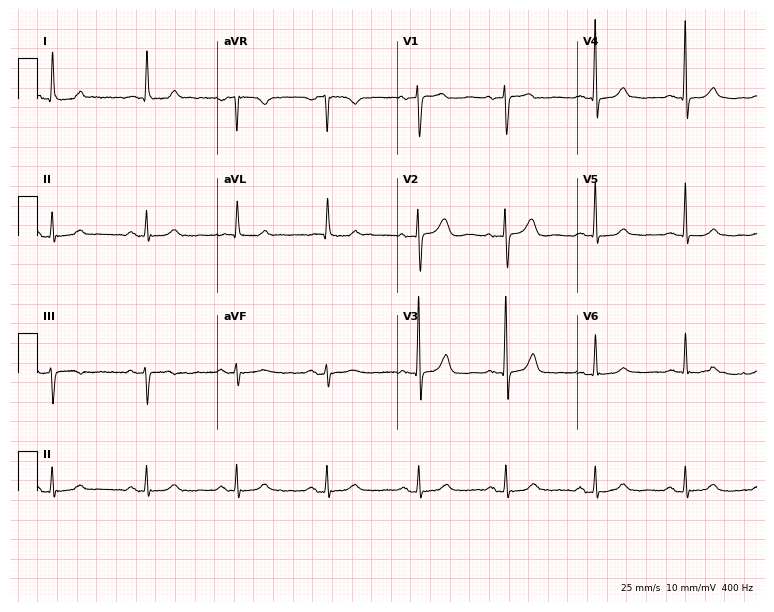
12-lead ECG (7.3-second recording at 400 Hz) from a 78-year-old female patient. Labelled as a normal ECG.